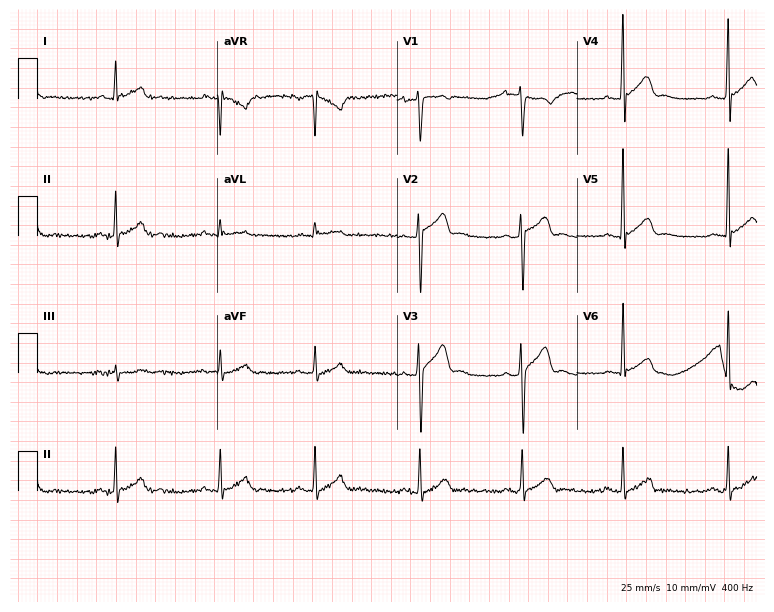
Standard 12-lead ECG recorded from a male patient, 33 years old (7.3-second recording at 400 Hz). None of these six findings is recorded: first-degree AV block, right bundle branch block, left bundle branch block, sinus bradycardia, atrial fibrillation, sinus tachycardia. Other findings, if any, are not listed.